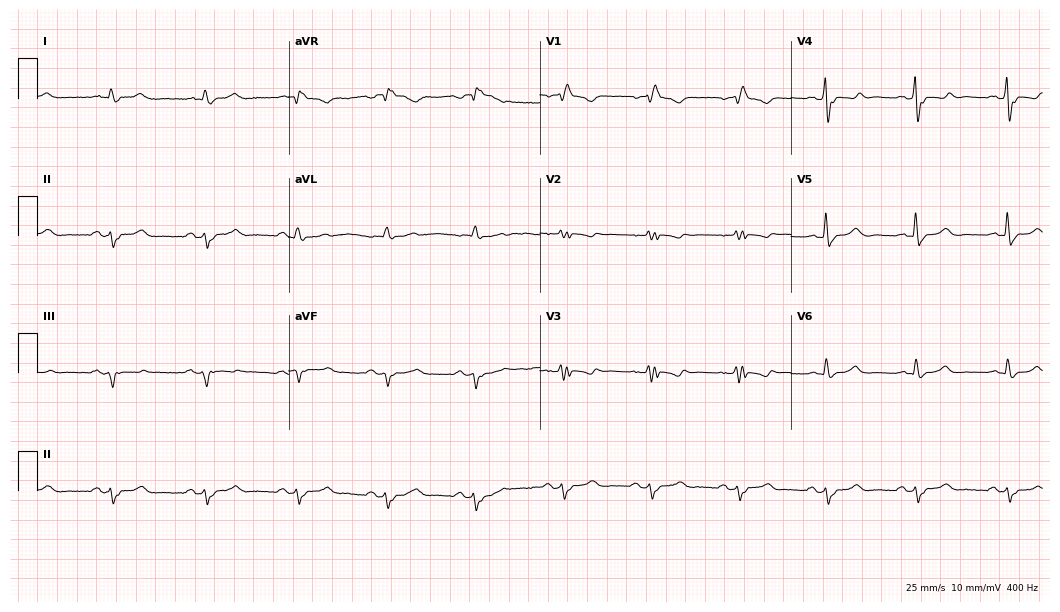
Resting 12-lead electrocardiogram (10.2-second recording at 400 Hz). Patient: a man, 67 years old. The tracing shows right bundle branch block (RBBB).